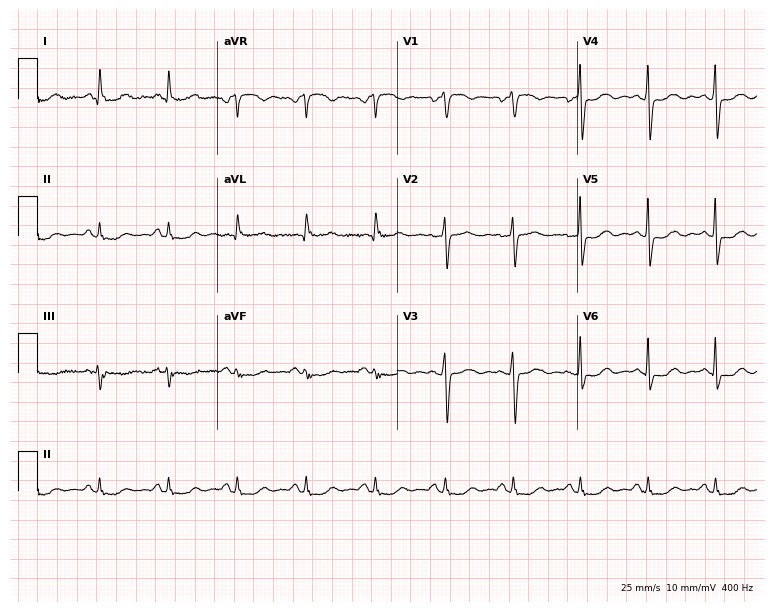
ECG — a 52-year-old woman. Screened for six findings — first-degree AV block, right bundle branch block (RBBB), left bundle branch block (LBBB), sinus bradycardia, atrial fibrillation (AF), sinus tachycardia — none is recorded.